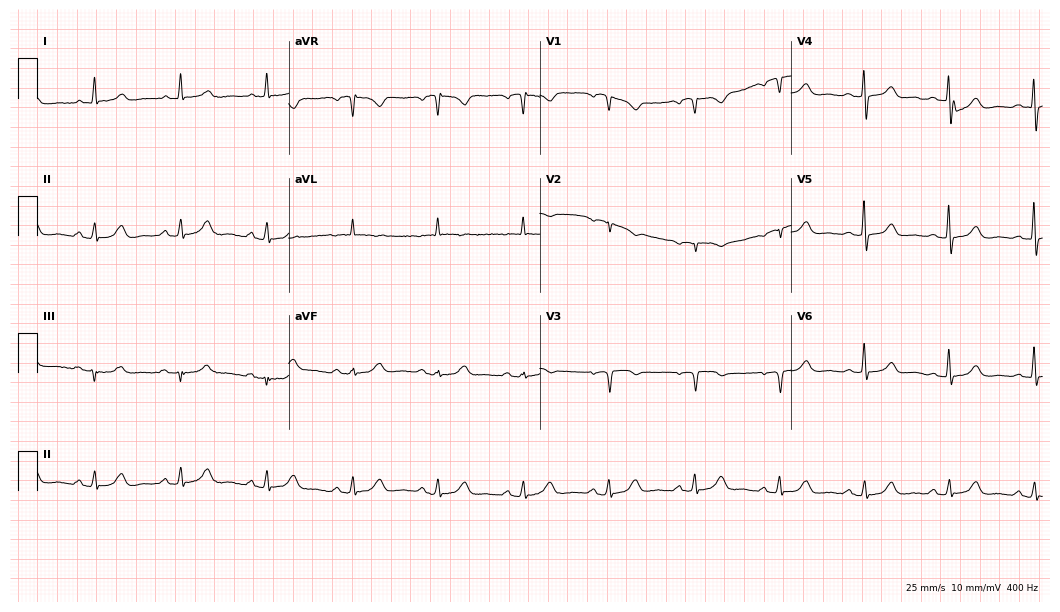
12-lead ECG from a woman, 65 years old (10.2-second recording at 400 Hz). No first-degree AV block, right bundle branch block, left bundle branch block, sinus bradycardia, atrial fibrillation or sinus tachycardia recorded for this tracing. Other findings, if any, are not listed.